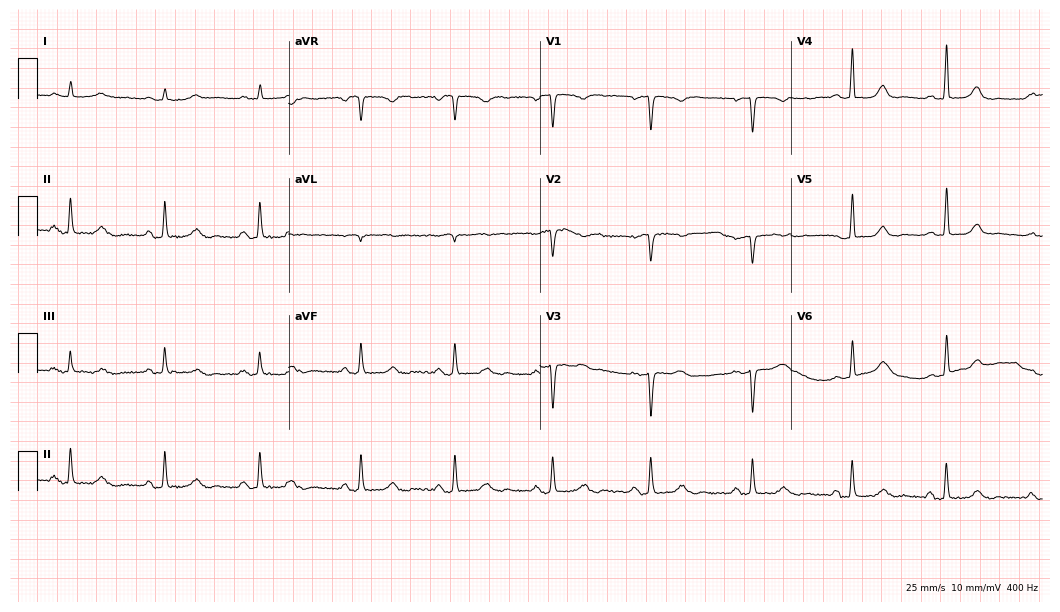
Standard 12-lead ECG recorded from a female patient, 54 years old (10.2-second recording at 400 Hz). None of these six findings is recorded: first-degree AV block, right bundle branch block, left bundle branch block, sinus bradycardia, atrial fibrillation, sinus tachycardia. Other findings, if any, are not listed.